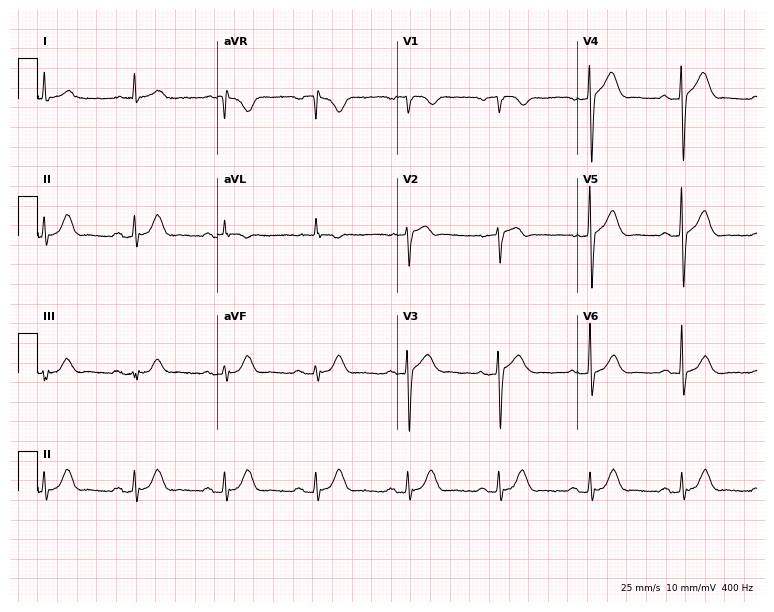
Electrocardiogram, a man, 80 years old. Overall reading on record: normal ECG.